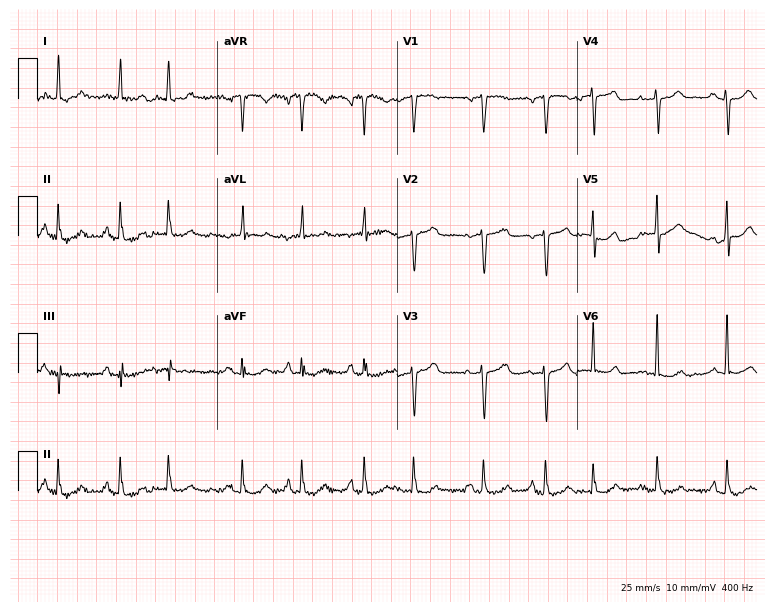
12-lead ECG from an 82-year-old female patient. No first-degree AV block, right bundle branch block (RBBB), left bundle branch block (LBBB), sinus bradycardia, atrial fibrillation (AF) or sinus tachycardia recorded for this tracing.